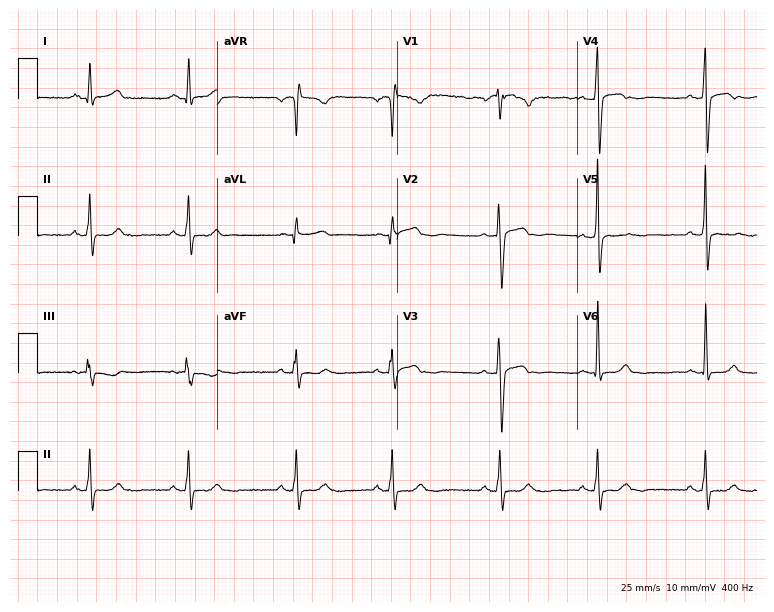
Resting 12-lead electrocardiogram. Patient: a female, 33 years old. Read as a normal ECG.